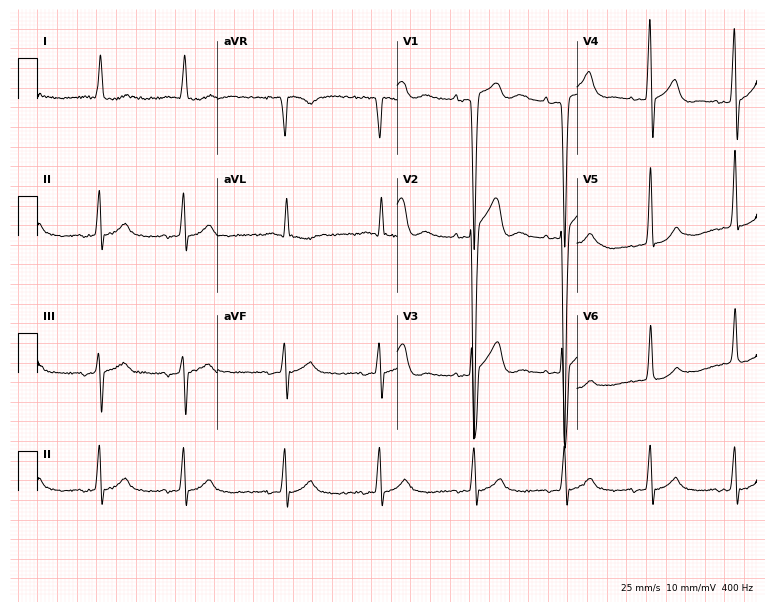
12-lead ECG from a male patient, 81 years old (7.3-second recording at 400 Hz). No first-degree AV block, right bundle branch block, left bundle branch block, sinus bradycardia, atrial fibrillation or sinus tachycardia recorded for this tracing. Only these six findings were labelled.